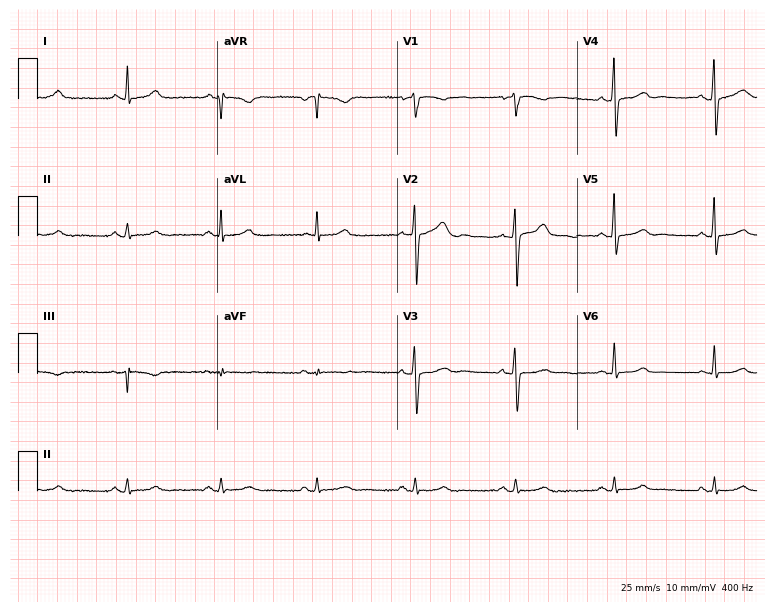
Standard 12-lead ECG recorded from a 56-year-old male patient. None of these six findings is recorded: first-degree AV block, right bundle branch block (RBBB), left bundle branch block (LBBB), sinus bradycardia, atrial fibrillation (AF), sinus tachycardia.